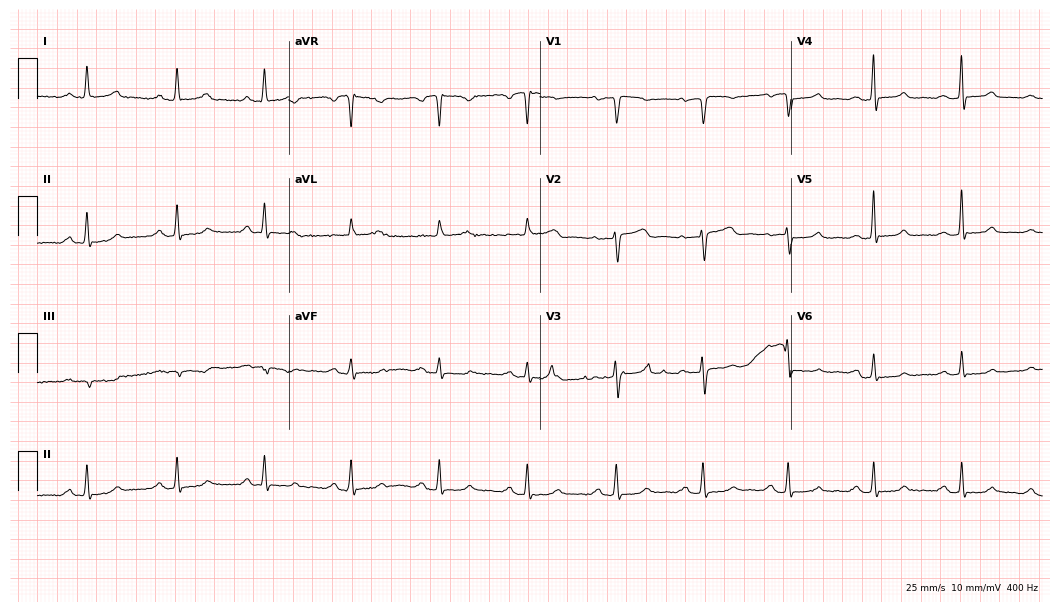
Electrocardiogram, a 56-year-old female patient. Overall reading on record: normal ECG.